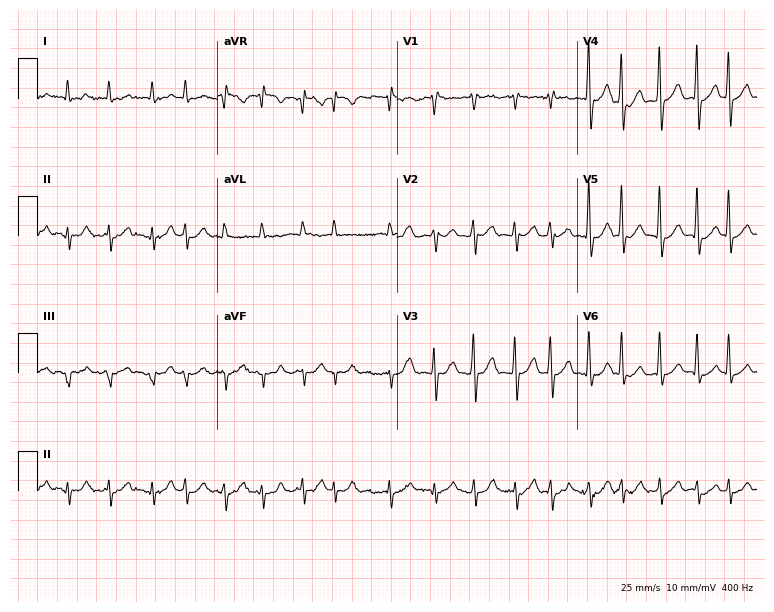
Standard 12-lead ECG recorded from an 81-year-old man. The tracing shows atrial fibrillation.